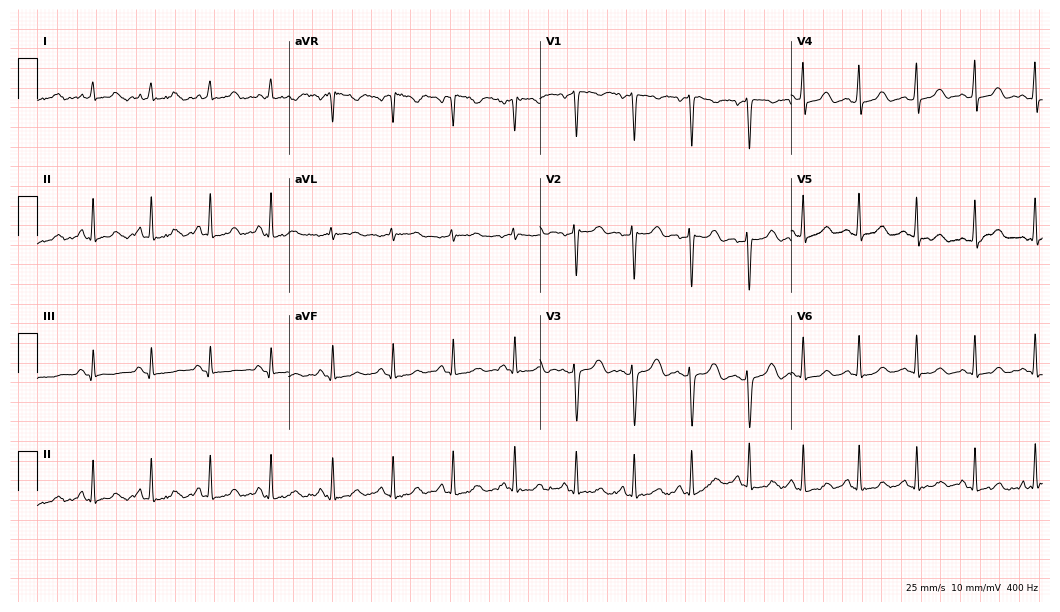
12-lead ECG from a female patient, 23 years old. No first-degree AV block, right bundle branch block (RBBB), left bundle branch block (LBBB), sinus bradycardia, atrial fibrillation (AF) or sinus tachycardia recorded for this tracing.